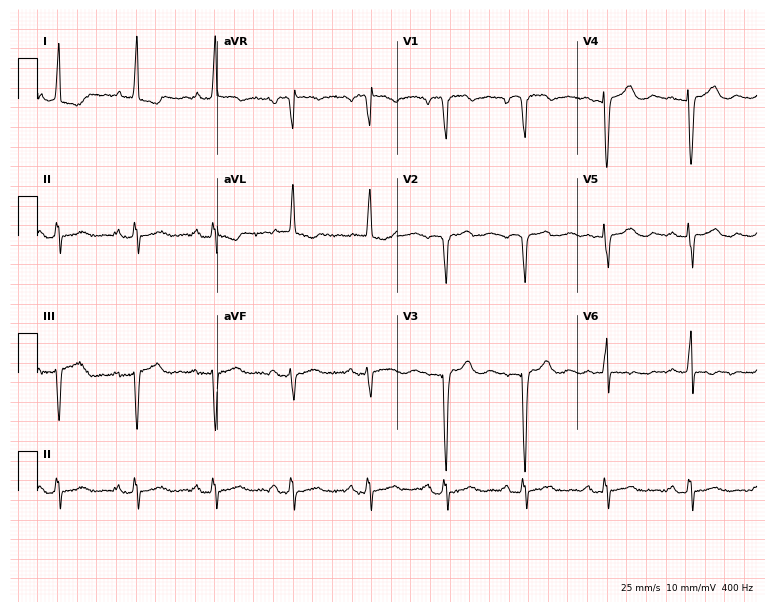
12-lead ECG (7.3-second recording at 400 Hz) from a 77-year-old male. Screened for six findings — first-degree AV block, right bundle branch block, left bundle branch block, sinus bradycardia, atrial fibrillation, sinus tachycardia — none is recorded. Only these six findings were labelled.